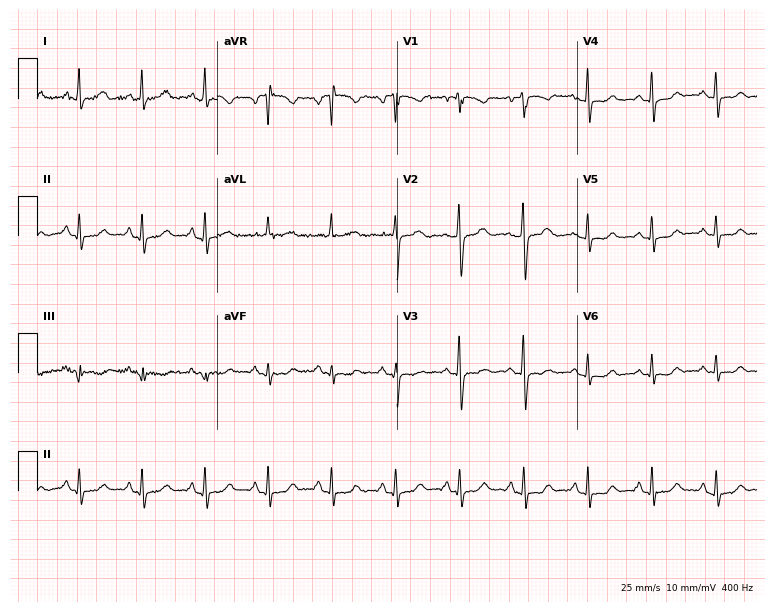
Resting 12-lead electrocardiogram (7.3-second recording at 400 Hz). Patient: a female, 67 years old. Read as a normal ECG.